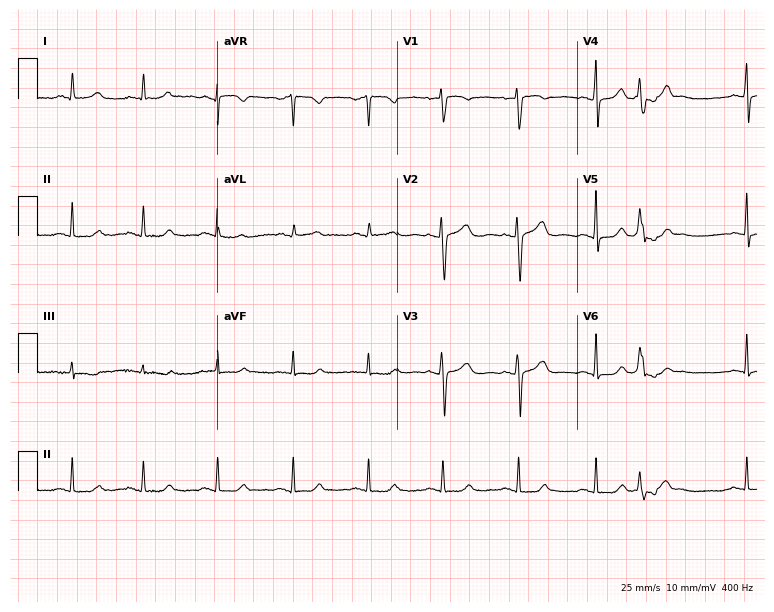
ECG — a 76-year-old female. Screened for six findings — first-degree AV block, right bundle branch block (RBBB), left bundle branch block (LBBB), sinus bradycardia, atrial fibrillation (AF), sinus tachycardia — none is recorded.